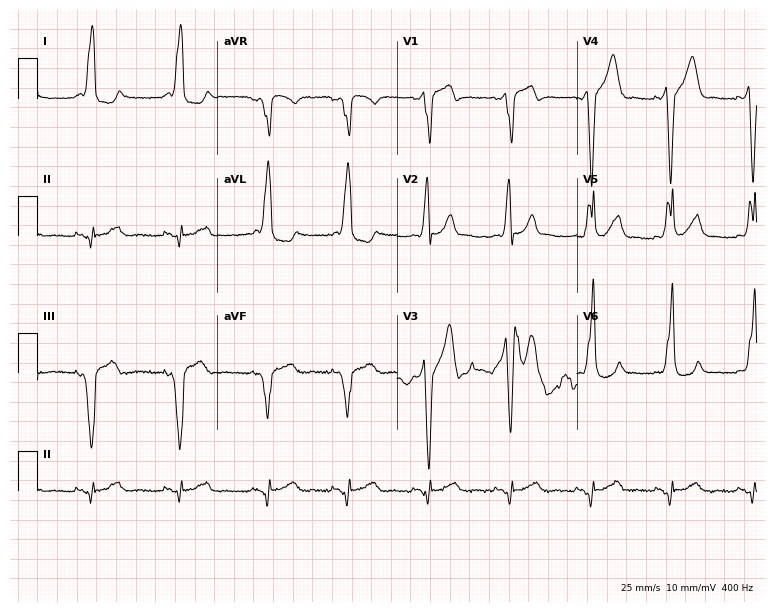
ECG (7.3-second recording at 400 Hz) — a male, 41 years old. Screened for six findings — first-degree AV block, right bundle branch block (RBBB), left bundle branch block (LBBB), sinus bradycardia, atrial fibrillation (AF), sinus tachycardia — none is recorded. Other findings, if any, are not listed.